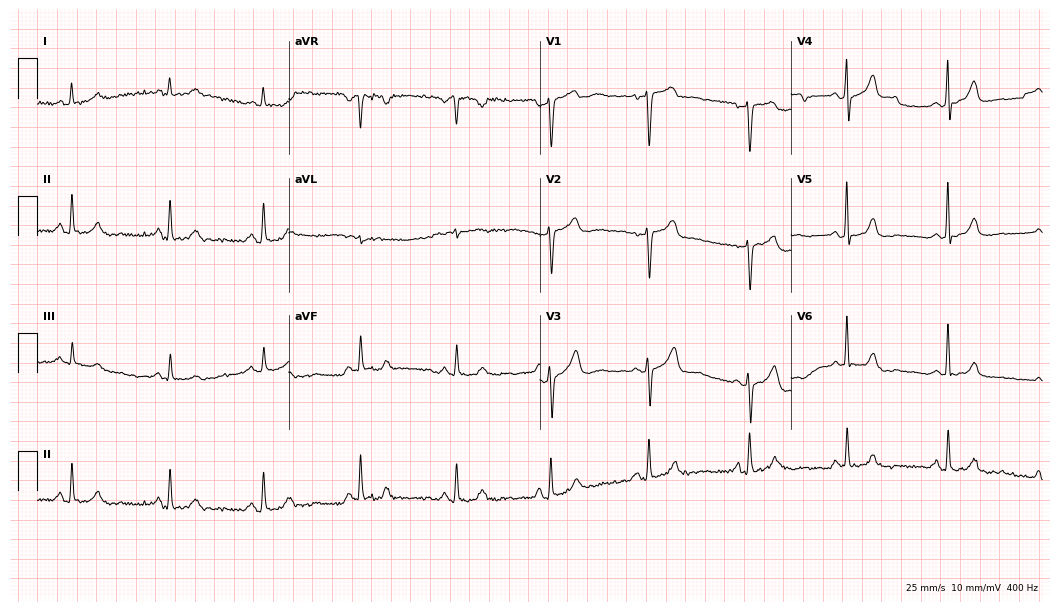
Standard 12-lead ECG recorded from a woman, 61 years old. Read as a normal ECG.